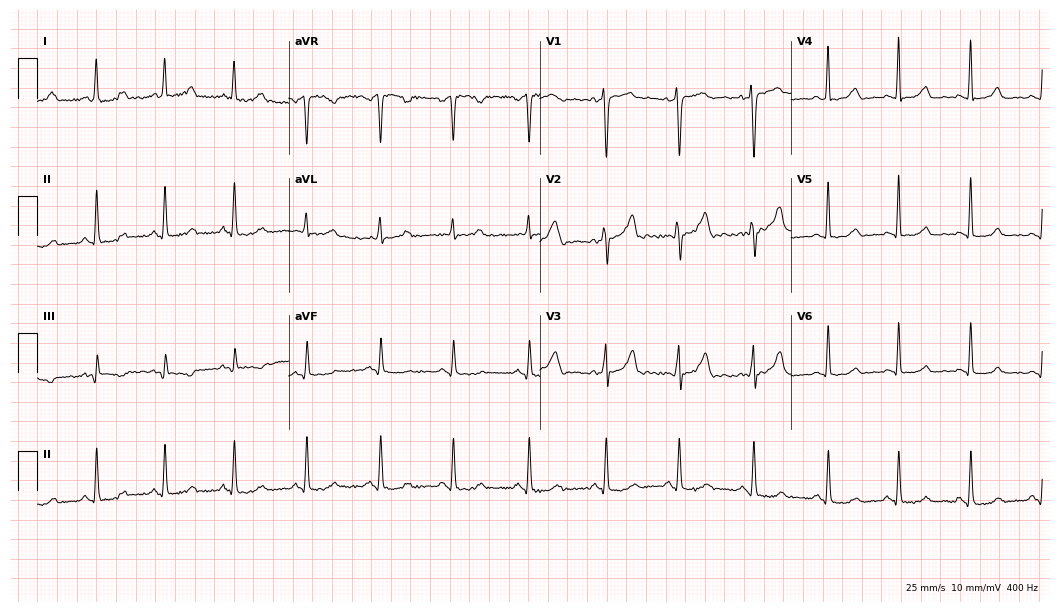
Electrocardiogram, a 33-year-old female patient. Overall reading on record: normal ECG.